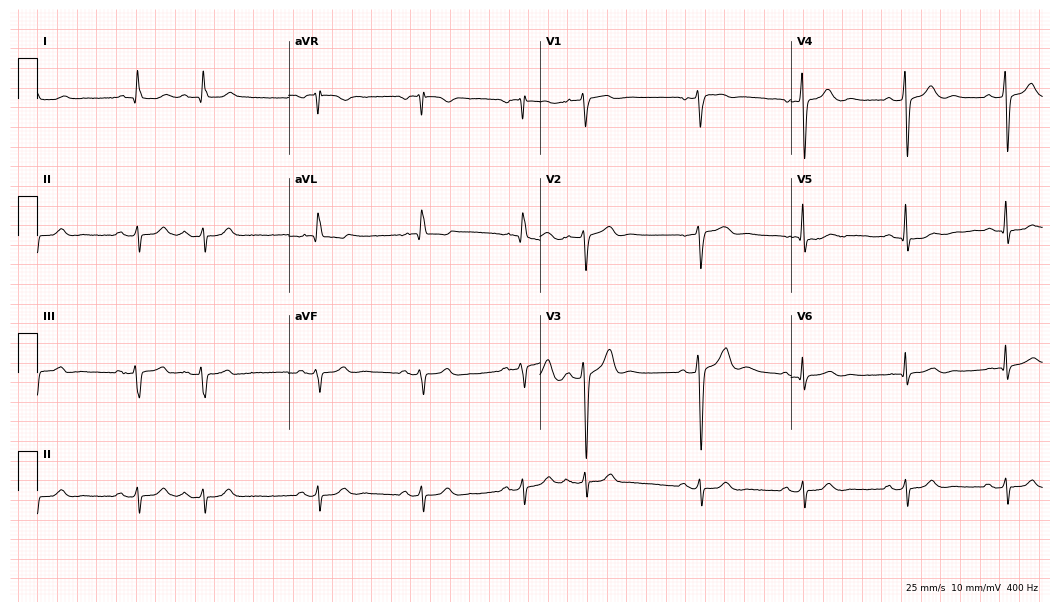
12-lead ECG (10.2-second recording at 400 Hz) from a man, 66 years old. Screened for six findings — first-degree AV block, right bundle branch block, left bundle branch block, sinus bradycardia, atrial fibrillation, sinus tachycardia — none is recorded.